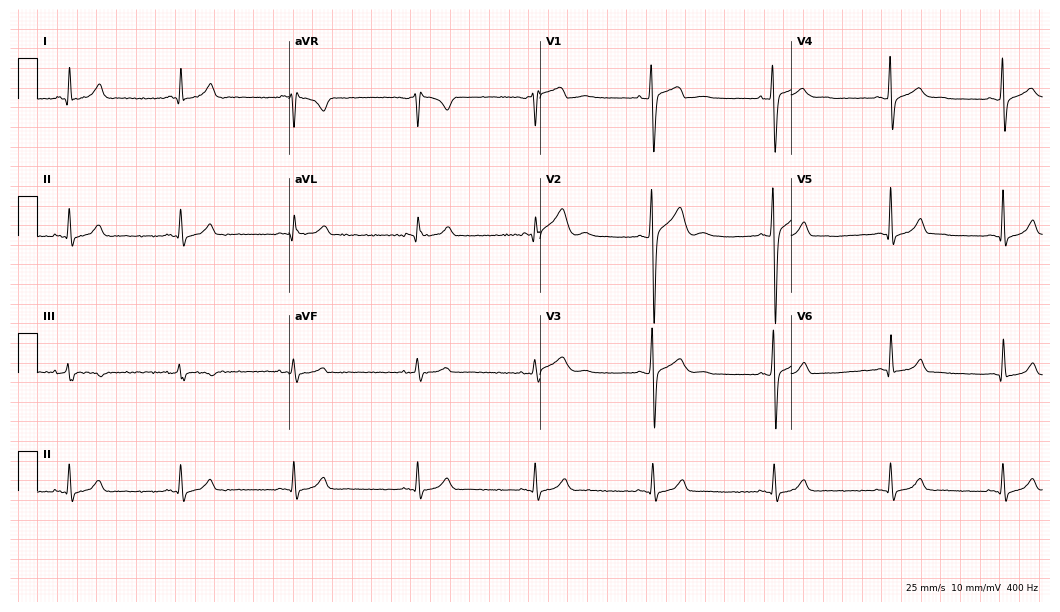
Resting 12-lead electrocardiogram. Patient: a 23-year-old male. Read as a normal ECG.